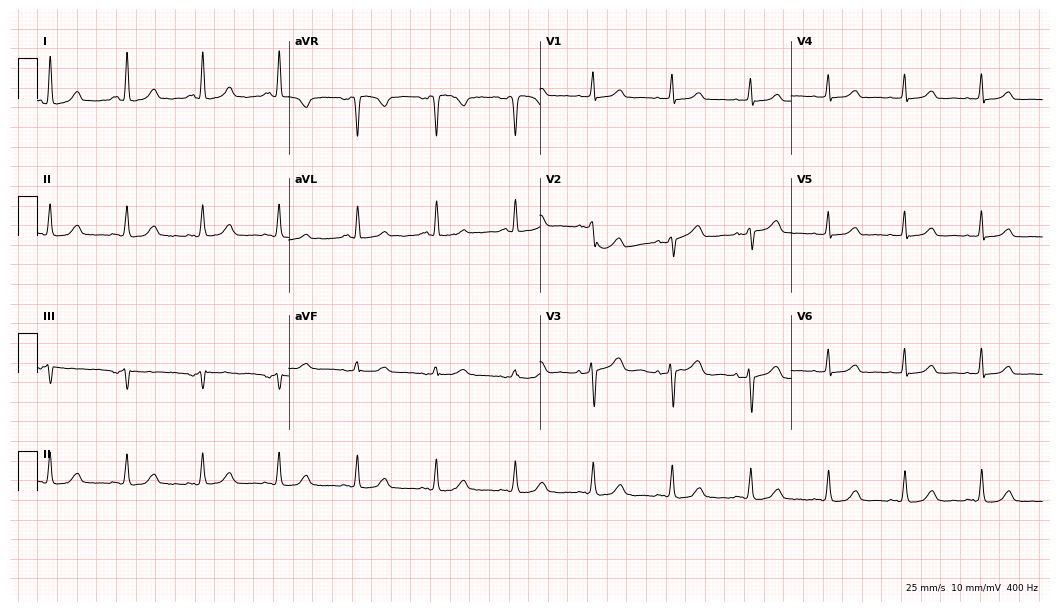
12-lead ECG from a 63-year-old female. Labelled as a normal ECG.